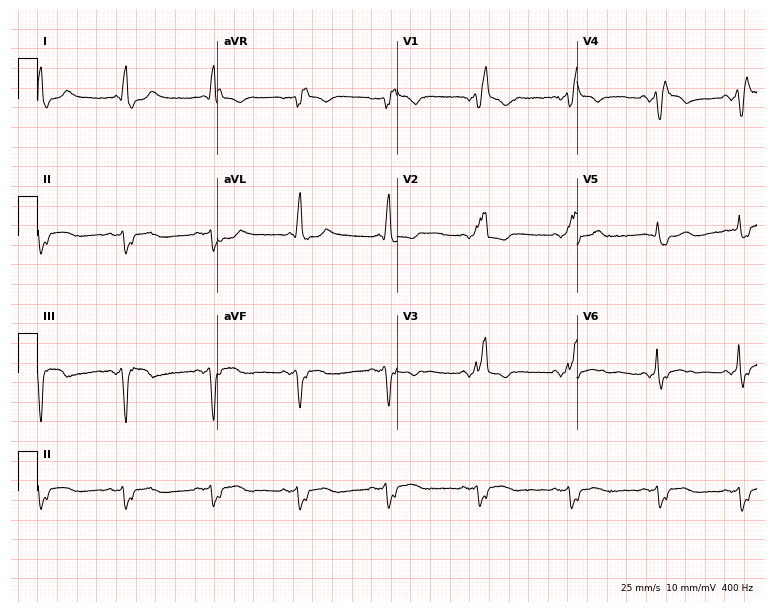
Resting 12-lead electrocardiogram (7.3-second recording at 400 Hz). Patient: a male, 86 years old. None of these six findings is recorded: first-degree AV block, right bundle branch block, left bundle branch block, sinus bradycardia, atrial fibrillation, sinus tachycardia. Findings outside these six are not listed.